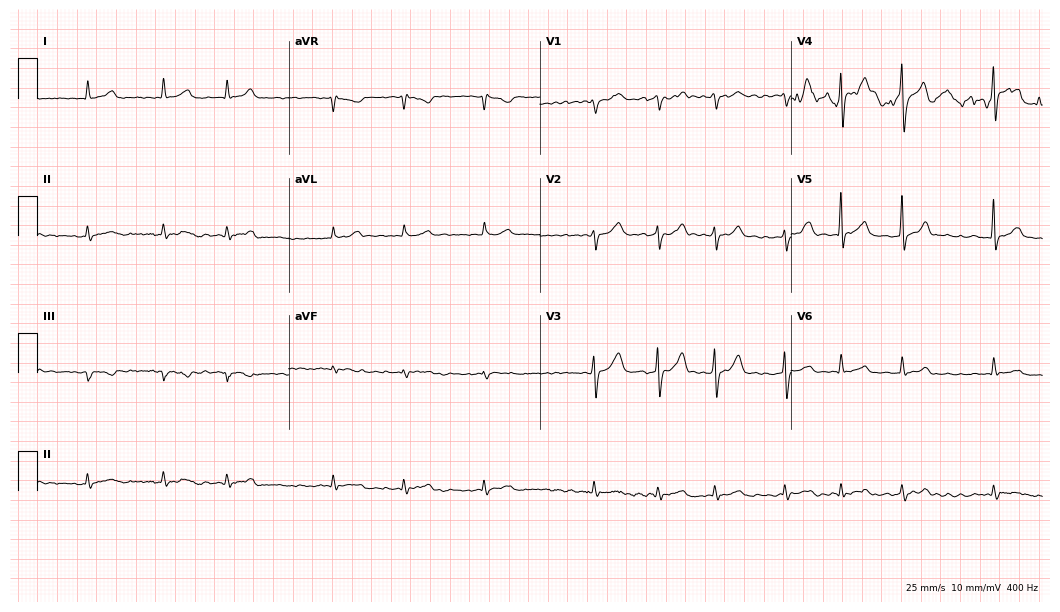
Resting 12-lead electrocardiogram (10.2-second recording at 400 Hz). Patient: a man, 64 years old. The tracing shows atrial fibrillation.